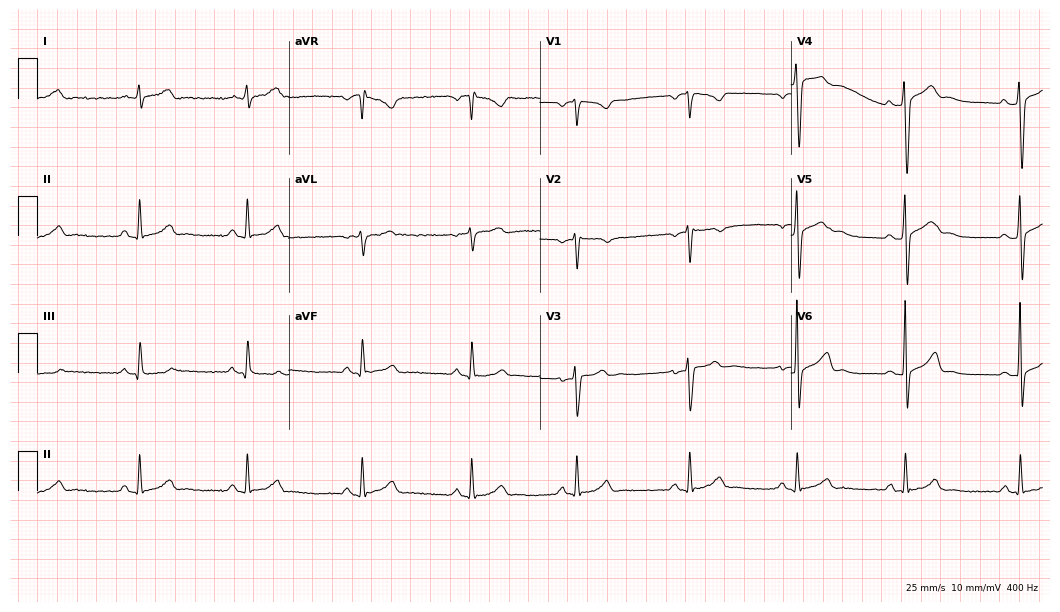
12-lead ECG from a 30-year-old male (10.2-second recording at 400 Hz). No first-degree AV block, right bundle branch block, left bundle branch block, sinus bradycardia, atrial fibrillation or sinus tachycardia recorded for this tracing. Other findings, if any, are not listed.